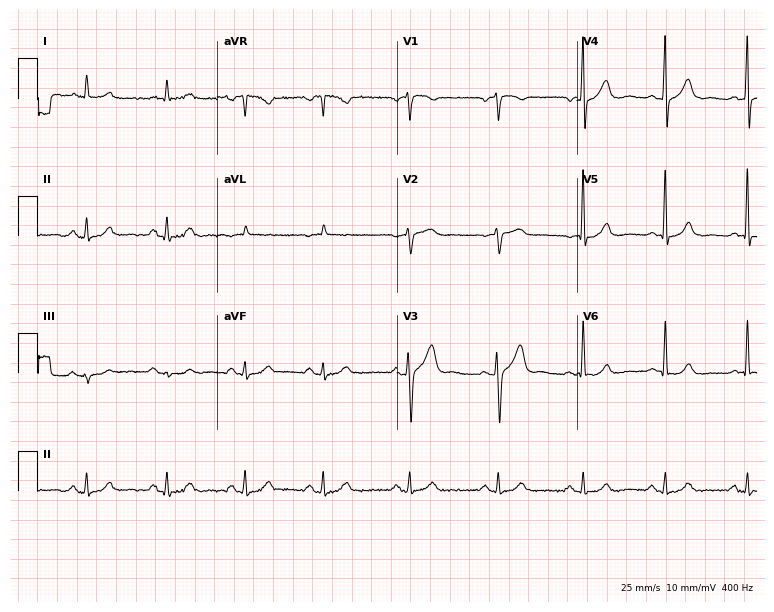
12-lead ECG from a male, 80 years old. Labelled as a normal ECG.